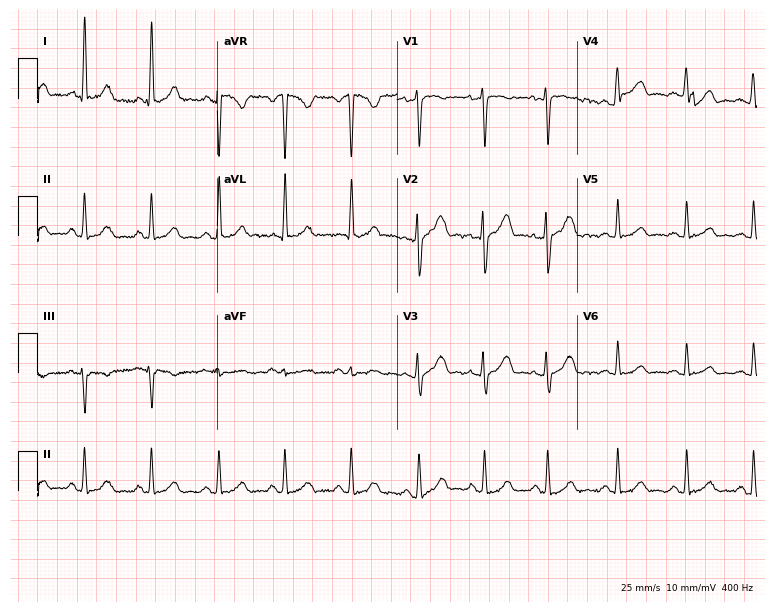
ECG — a woman, 29 years old. Screened for six findings — first-degree AV block, right bundle branch block, left bundle branch block, sinus bradycardia, atrial fibrillation, sinus tachycardia — none is recorded.